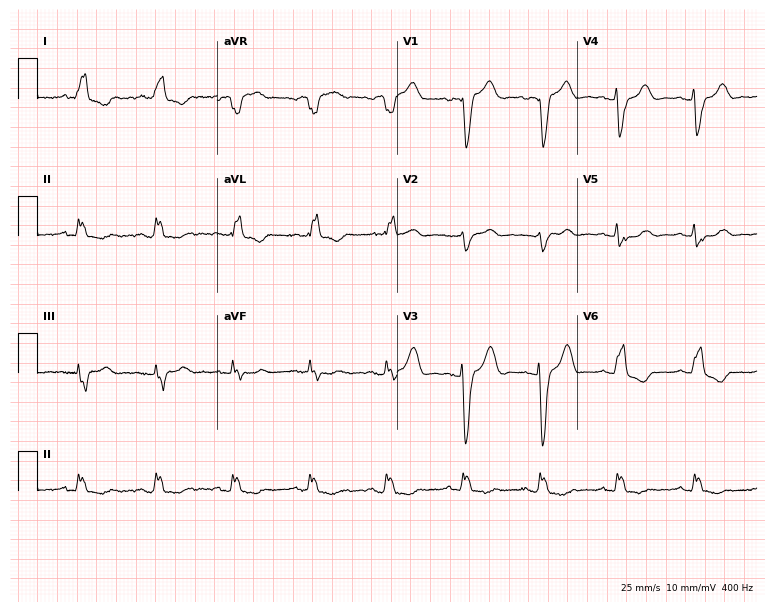
12-lead ECG from an 83-year-old female patient. Shows left bundle branch block (LBBB).